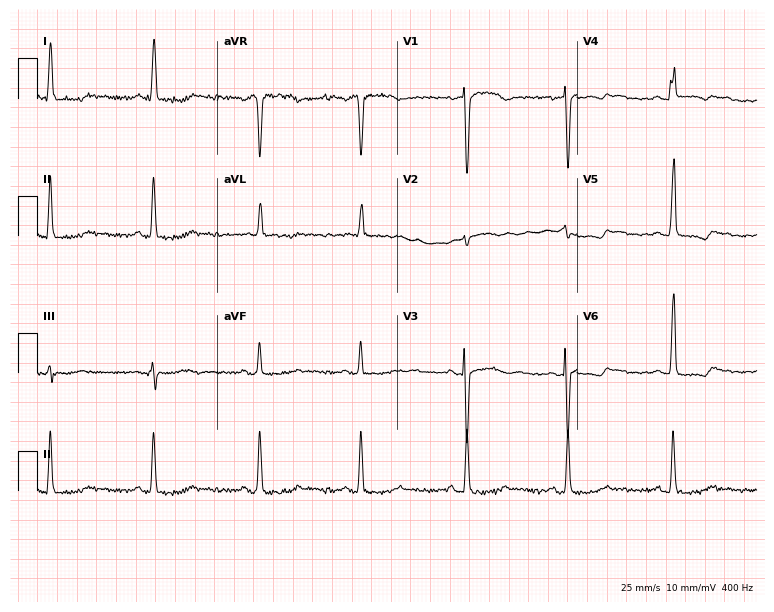
12-lead ECG (7.3-second recording at 400 Hz) from a 61-year-old female. Screened for six findings — first-degree AV block, right bundle branch block (RBBB), left bundle branch block (LBBB), sinus bradycardia, atrial fibrillation (AF), sinus tachycardia — none is recorded. Only these six findings were labelled.